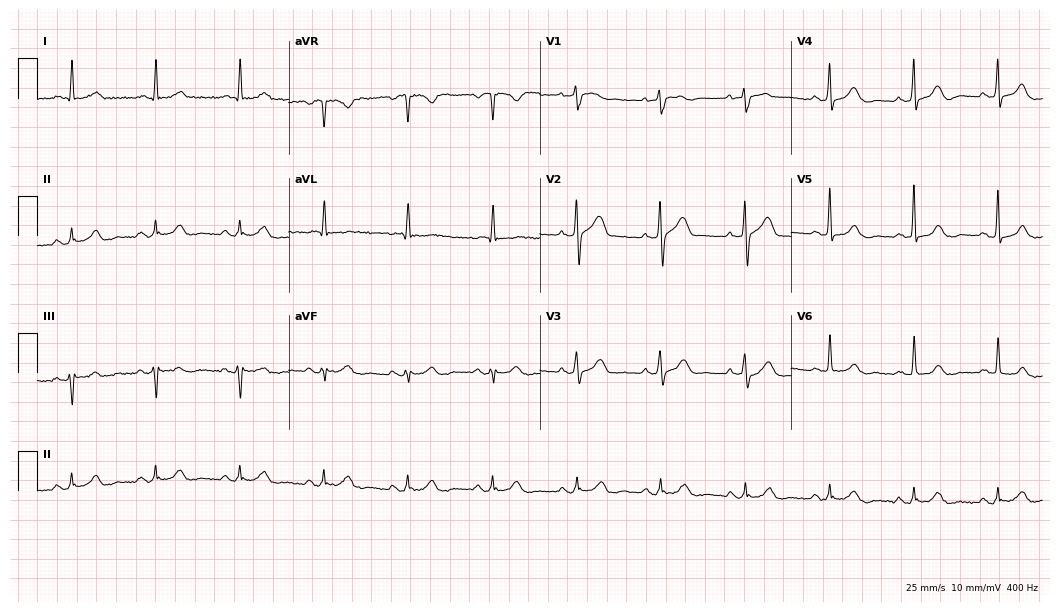
Electrocardiogram, a 77-year-old female. Overall reading on record: normal ECG.